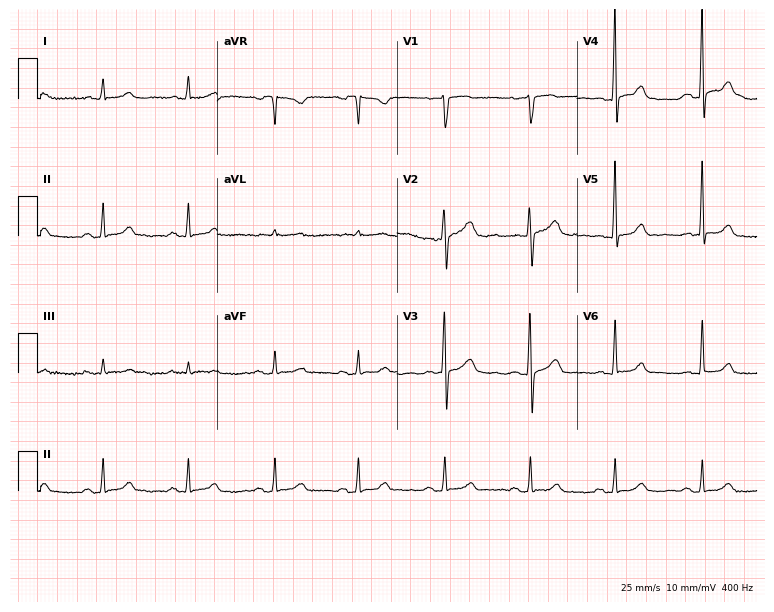
Resting 12-lead electrocardiogram (7.3-second recording at 400 Hz). Patient: a female, 60 years old. None of these six findings is recorded: first-degree AV block, right bundle branch block, left bundle branch block, sinus bradycardia, atrial fibrillation, sinus tachycardia. Only these six findings were labelled.